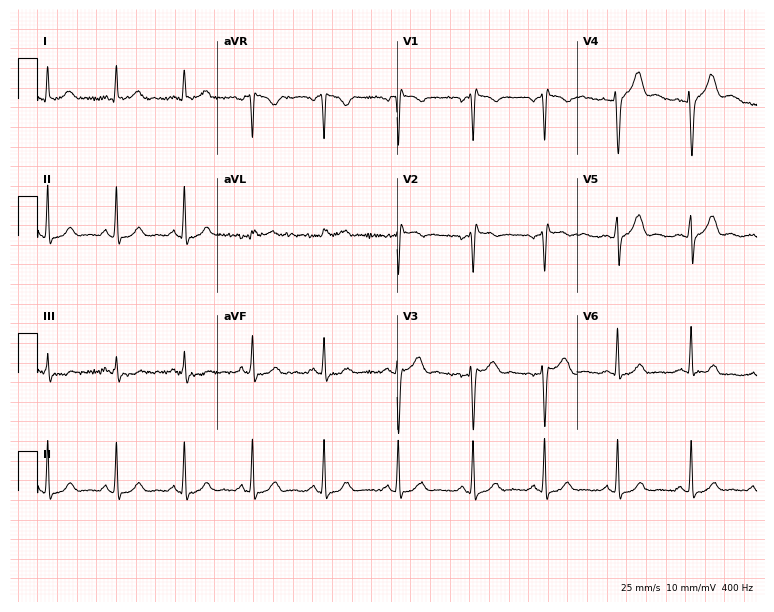
Standard 12-lead ECG recorded from a 38-year-old female patient. None of these six findings is recorded: first-degree AV block, right bundle branch block, left bundle branch block, sinus bradycardia, atrial fibrillation, sinus tachycardia.